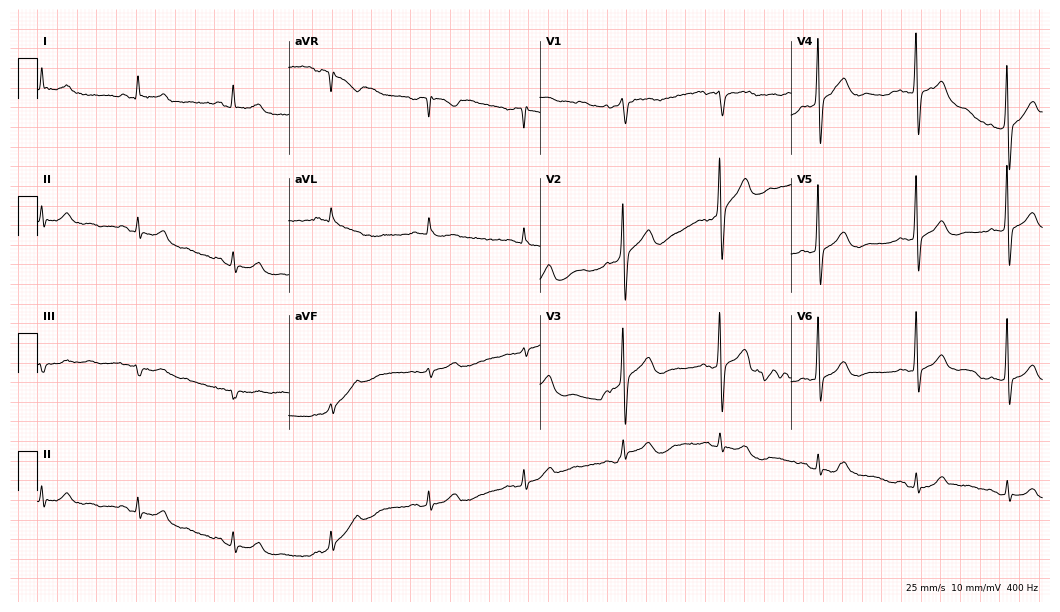
Resting 12-lead electrocardiogram (10.2-second recording at 400 Hz). Patient: a 74-year-old male. Read as a normal ECG.